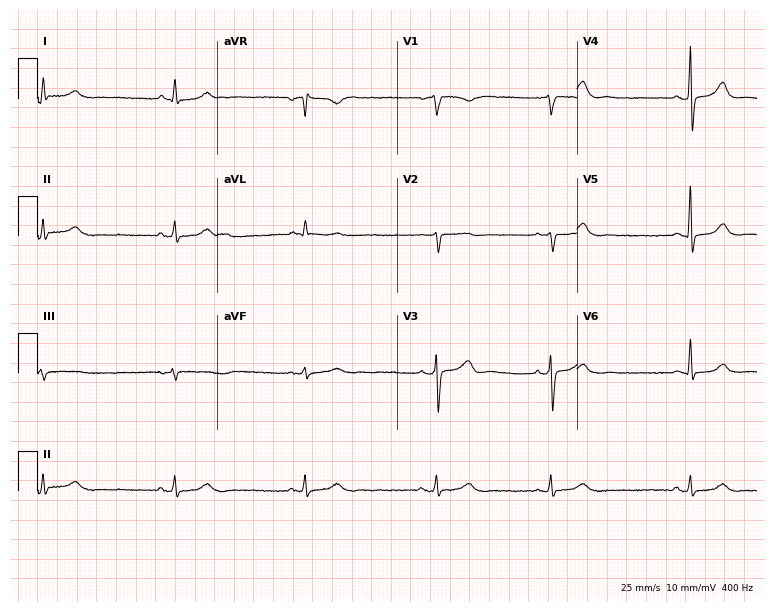
Standard 12-lead ECG recorded from a male, 84 years old. The tracing shows sinus bradycardia (a sinus rate of 50 beats per minute or less).